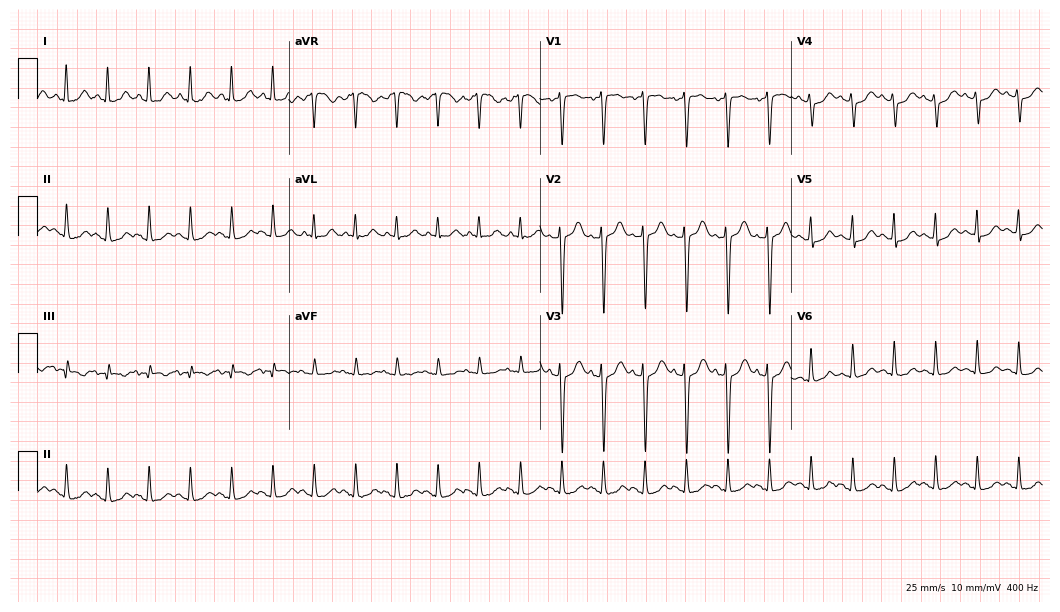
Standard 12-lead ECG recorded from a 42-year-old female. The tracing shows sinus tachycardia (a sinus rate of 100 beats per minute or more).